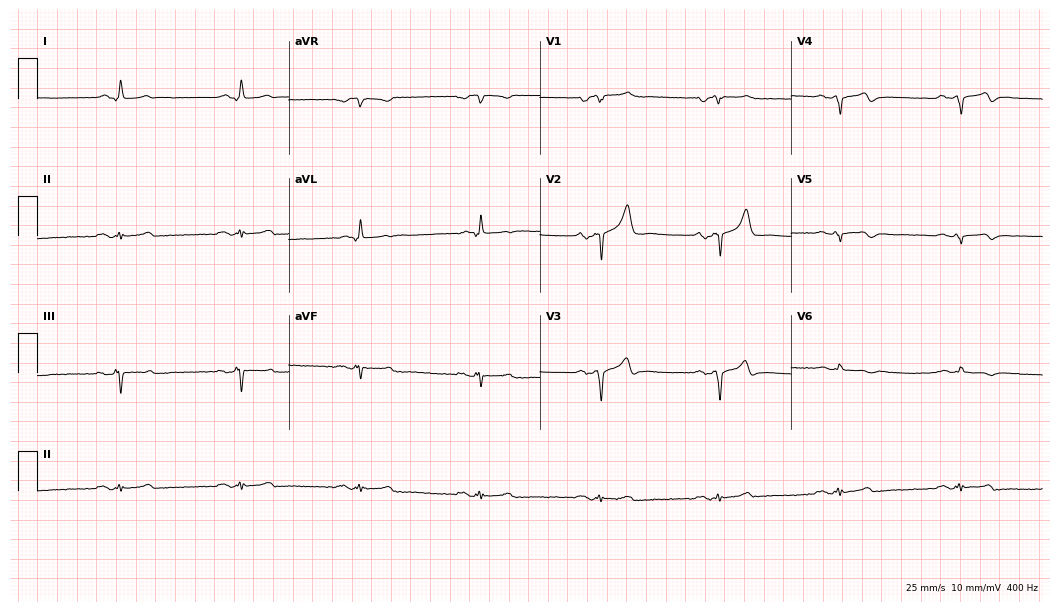
ECG (10.2-second recording at 400 Hz) — a female, 75 years old. Screened for six findings — first-degree AV block, right bundle branch block, left bundle branch block, sinus bradycardia, atrial fibrillation, sinus tachycardia — none is recorded. Only these six findings were labelled.